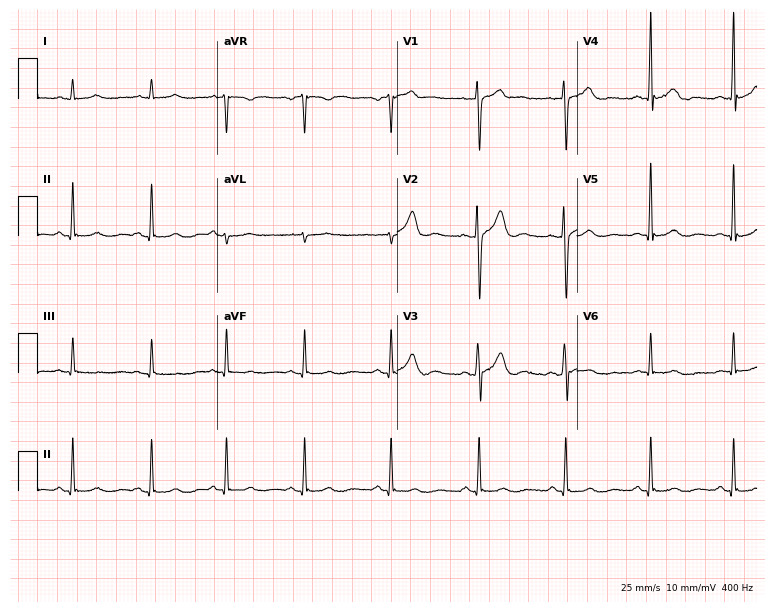
12-lead ECG from a male, 39 years old. No first-degree AV block, right bundle branch block (RBBB), left bundle branch block (LBBB), sinus bradycardia, atrial fibrillation (AF) or sinus tachycardia recorded for this tracing.